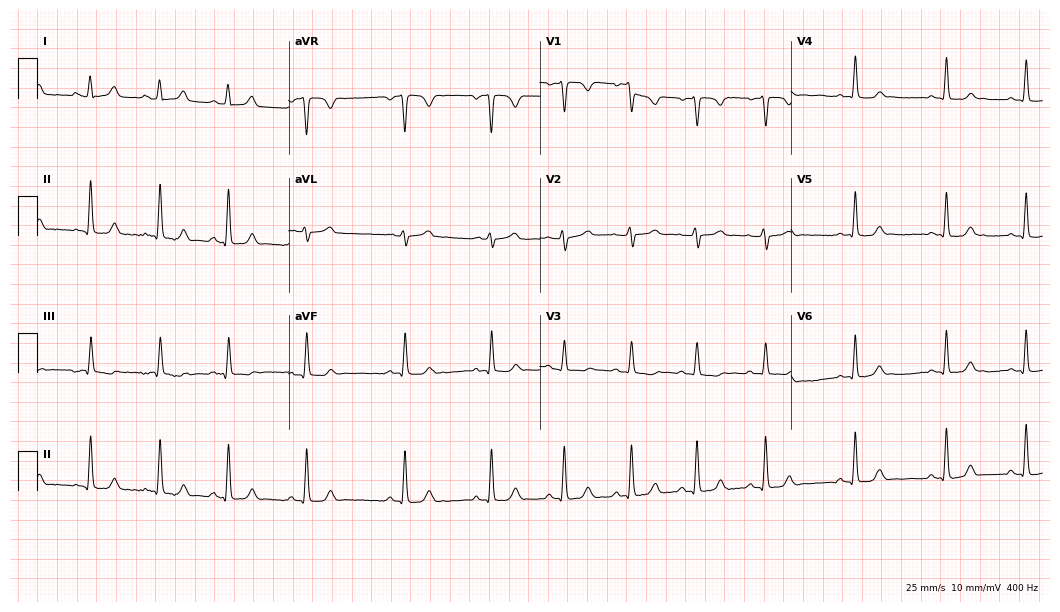
ECG (10.2-second recording at 400 Hz) — a woman, 18 years old. Labelled as a normal ECG.